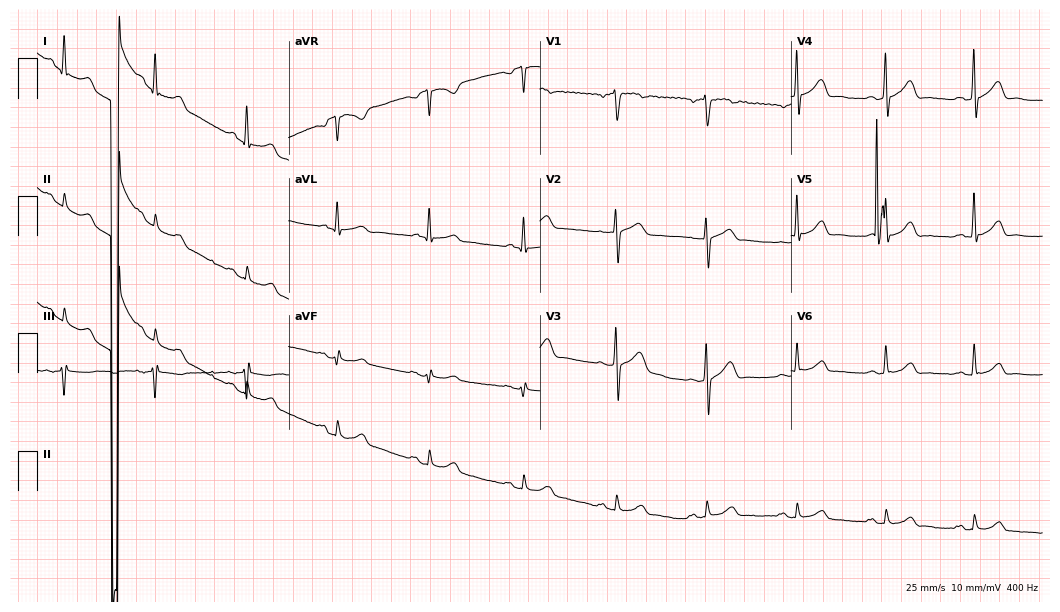
12-lead ECG (10.2-second recording at 400 Hz) from a man, 50 years old. Screened for six findings — first-degree AV block, right bundle branch block (RBBB), left bundle branch block (LBBB), sinus bradycardia, atrial fibrillation (AF), sinus tachycardia — none is recorded. Findings outside these six are not listed.